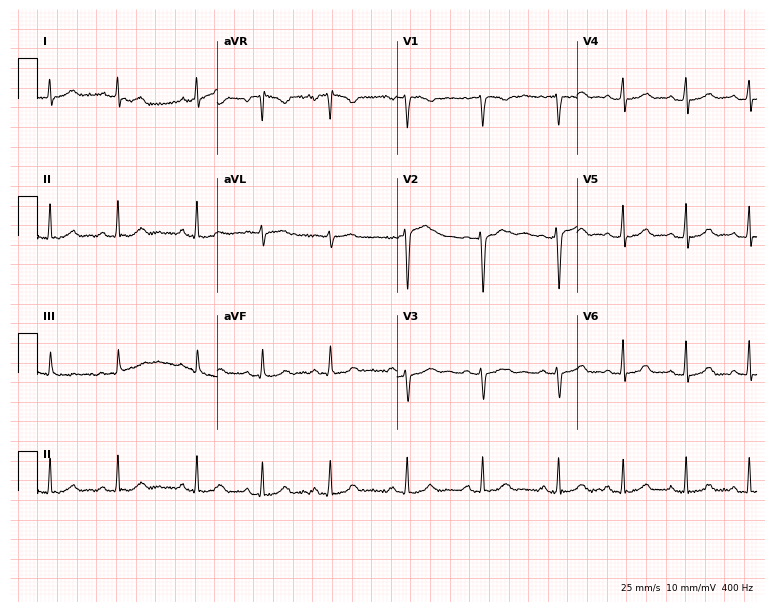
Resting 12-lead electrocardiogram (7.3-second recording at 400 Hz). Patient: a 28-year-old female. None of these six findings is recorded: first-degree AV block, right bundle branch block, left bundle branch block, sinus bradycardia, atrial fibrillation, sinus tachycardia.